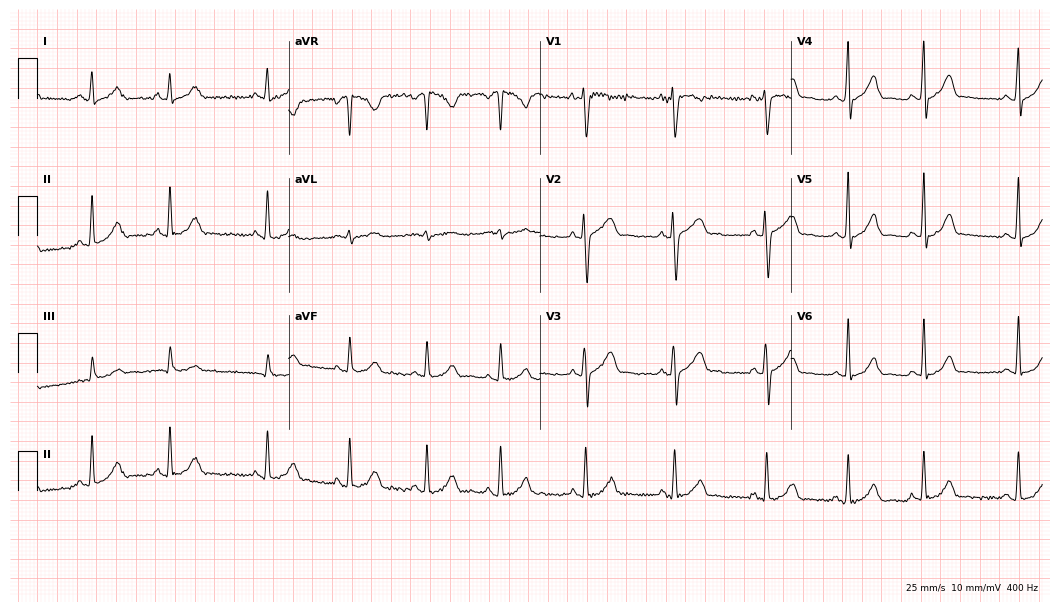
Standard 12-lead ECG recorded from a 19-year-old woman (10.2-second recording at 400 Hz). Read as a normal ECG.